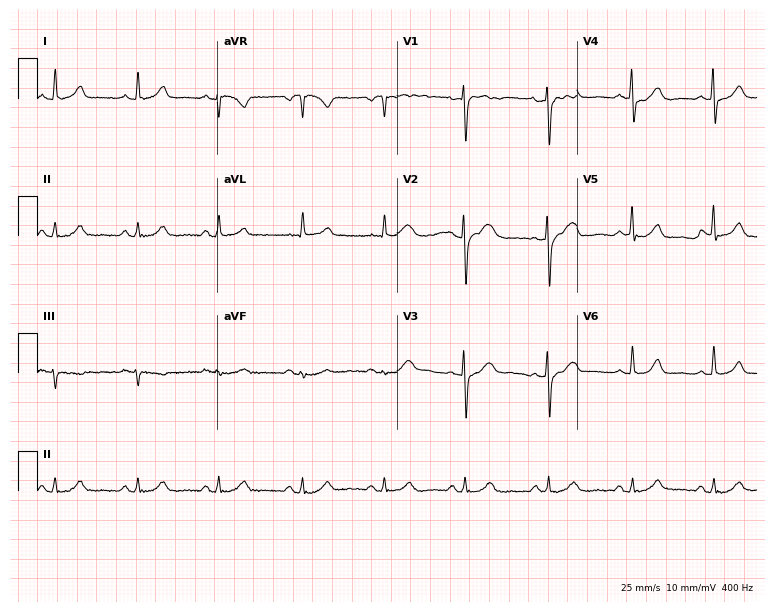
ECG (7.3-second recording at 400 Hz) — a 48-year-old woman. Labelled as a normal ECG.